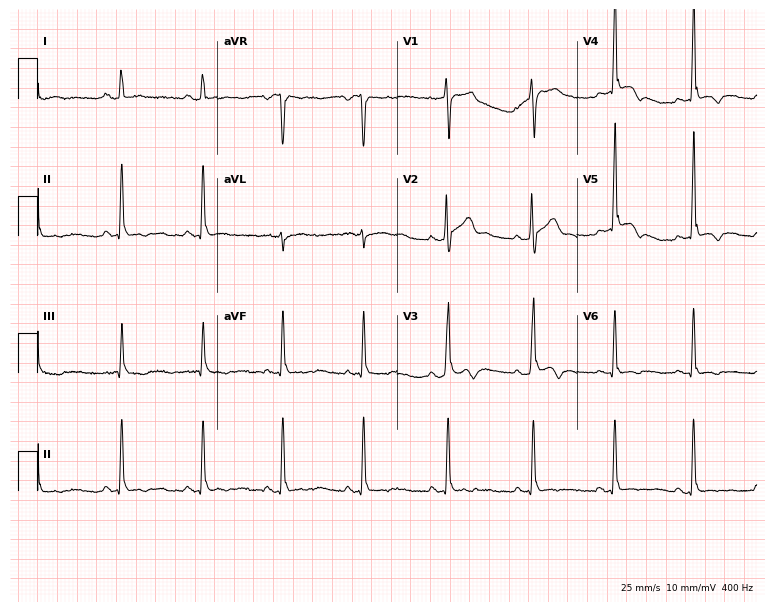
Standard 12-lead ECG recorded from a man, 34 years old (7.3-second recording at 400 Hz). None of these six findings is recorded: first-degree AV block, right bundle branch block, left bundle branch block, sinus bradycardia, atrial fibrillation, sinus tachycardia.